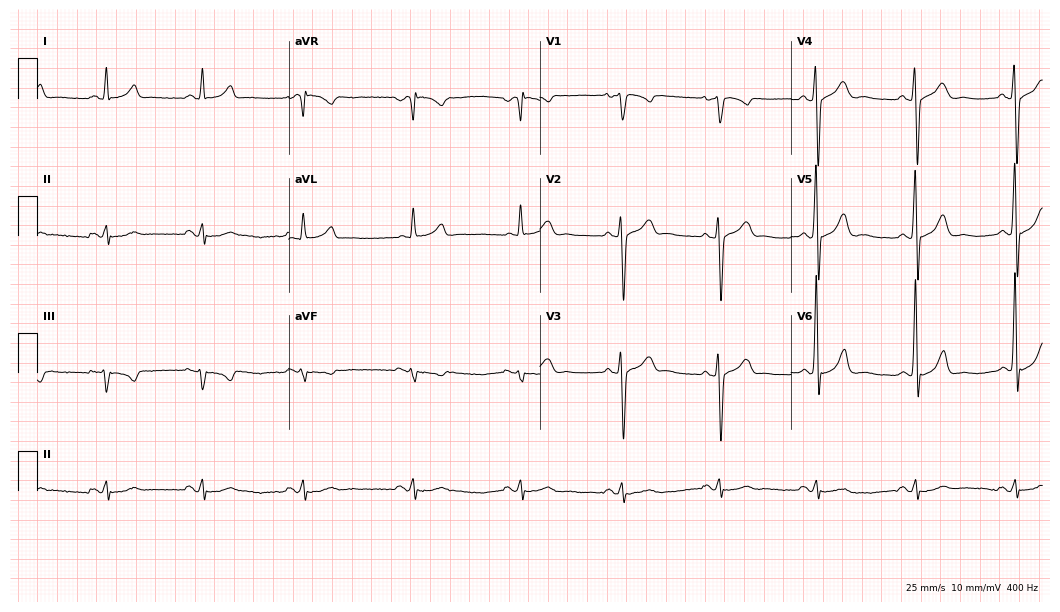
12-lead ECG from a male patient, 59 years old (10.2-second recording at 400 Hz). No first-degree AV block, right bundle branch block, left bundle branch block, sinus bradycardia, atrial fibrillation or sinus tachycardia recorded for this tracing. Findings outside these six are not listed.